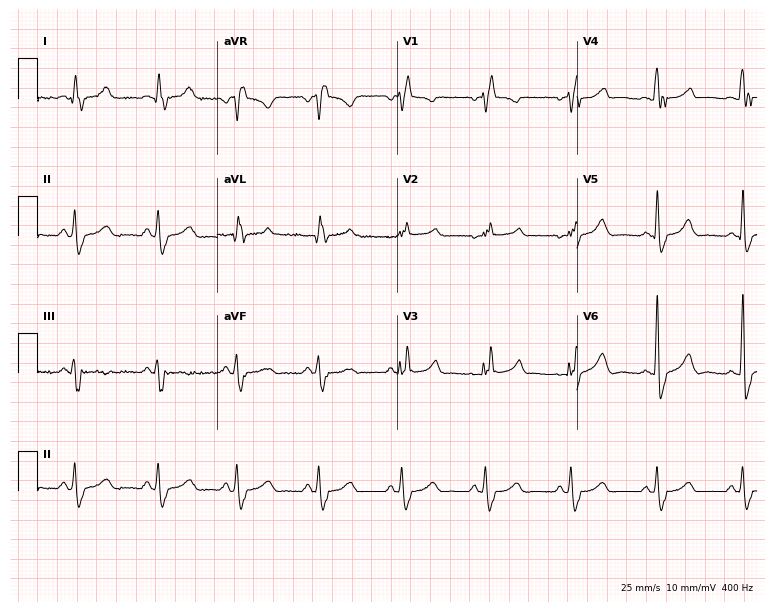
12-lead ECG from a woman, 59 years old. Findings include right bundle branch block.